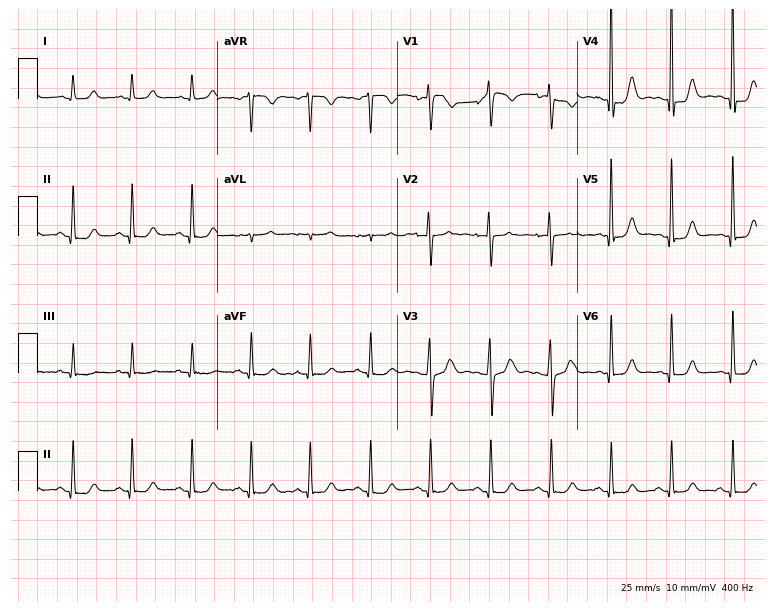
12-lead ECG from a 41-year-old female (7.3-second recording at 400 Hz). No first-degree AV block, right bundle branch block, left bundle branch block, sinus bradycardia, atrial fibrillation or sinus tachycardia recorded for this tracing. Other findings, if any, are not listed.